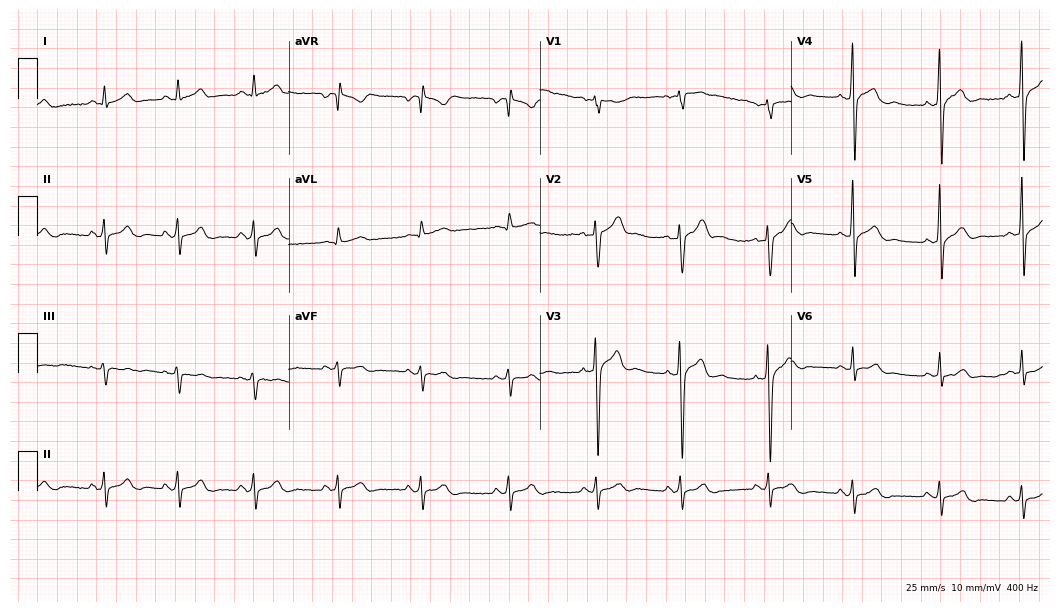
Standard 12-lead ECG recorded from a male, 31 years old (10.2-second recording at 400 Hz). None of these six findings is recorded: first-degree AV block, right bundle branch block (RBBB), left bundle branch block (LBBB), sinus bradycardia, atrial fibrillation (AF), sinus tachycardia.